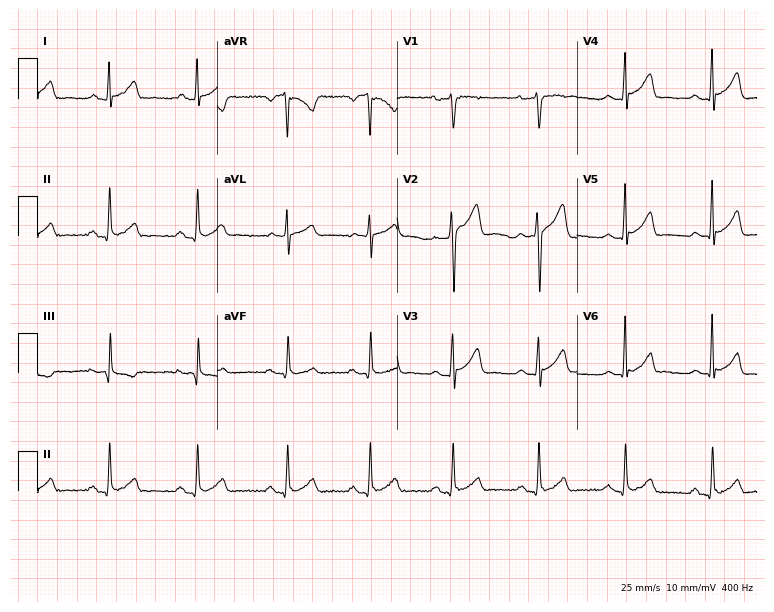
12-lead ECG (7.3-second recording at 400 Hz) from a male patient, 26 years old. Screened for six findings — first-degree AV block, right bundle branch block (RBBB), left bundle branch block (LBBB), sinus bradycardia, atrial fibrillation (AF), sinus tachycardia — none is recorded.